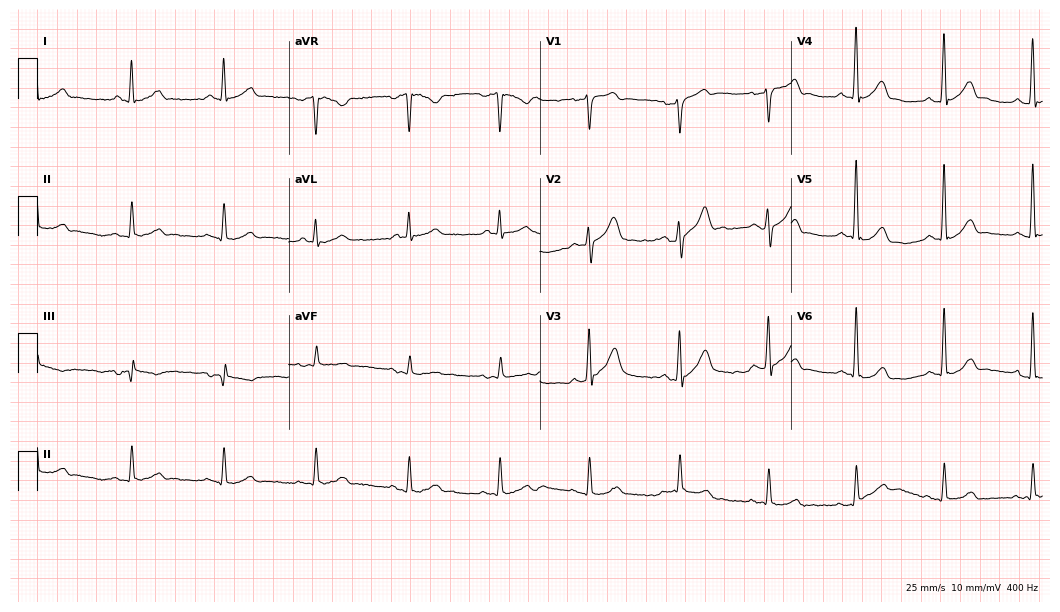
12-lead ECG from a 71-year-old man (10.2-second recording at 400 Hz). Recorded interpretation: within normal limits.